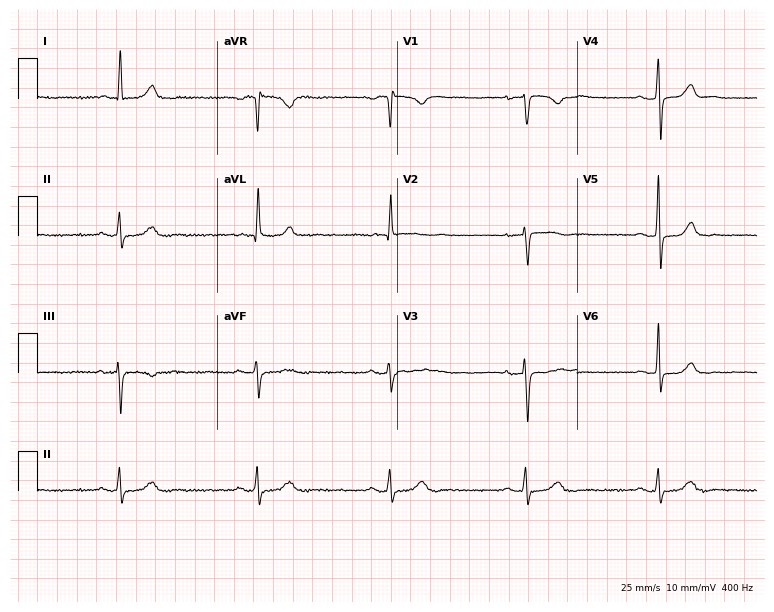
Resting 12-lead electrocardiogram (7.3-second recording at 400 Hz). Patient: a 69-year-old woman. The tracing shows sinus bradycardia (a sinus rate of 50 beats per minute or less).